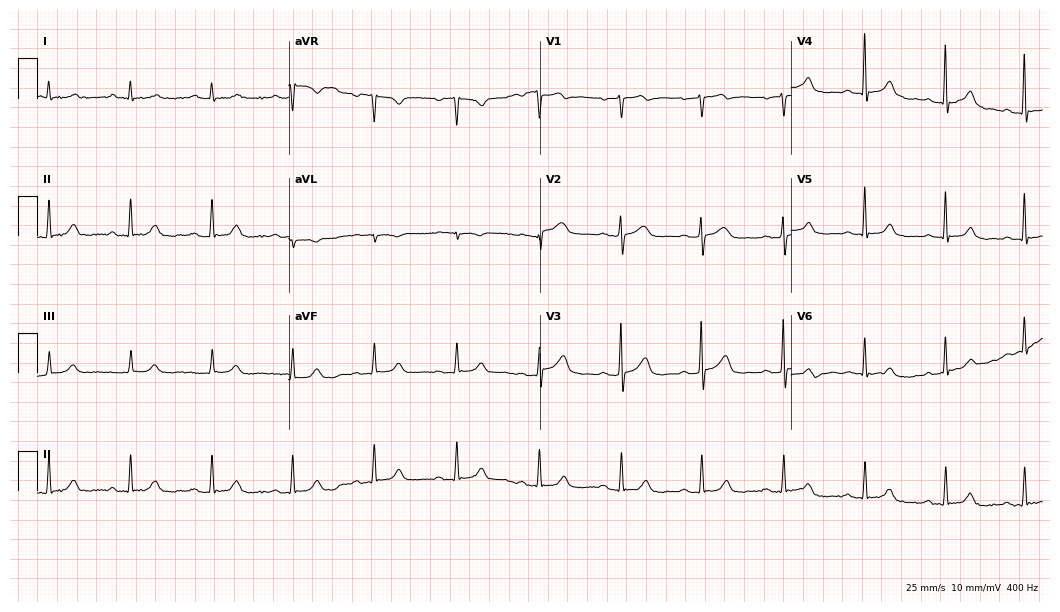
12-lead ECG from a 65-year-old female (10.2-second recording at 400 Hz). Recorded interpretation: within normal limits.